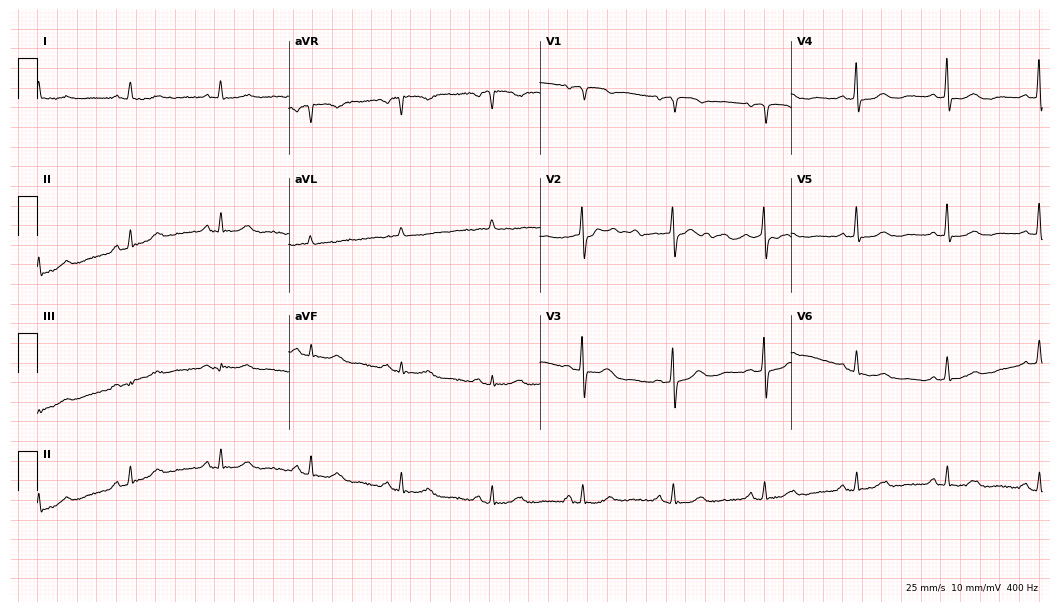
Resting 12-lead electrocardiogram (10.2-second recording at 400 Hz). Patient: a 78-year-old woman. Read as a normal ECG.